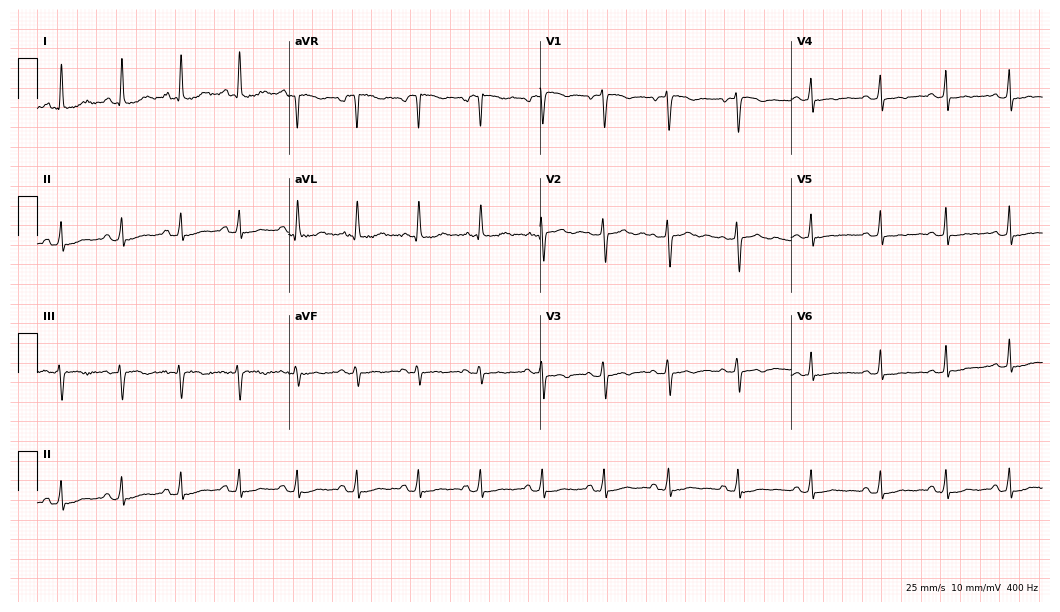
Resting 12-lead electrocardiogram. Patient: a 41-year-old female. None of these six findings is recorded: first-degree AV block, right bundle branch block, left bundle branch block, sinus bradycardia, atrial fibrillation, sinus tachycardia.